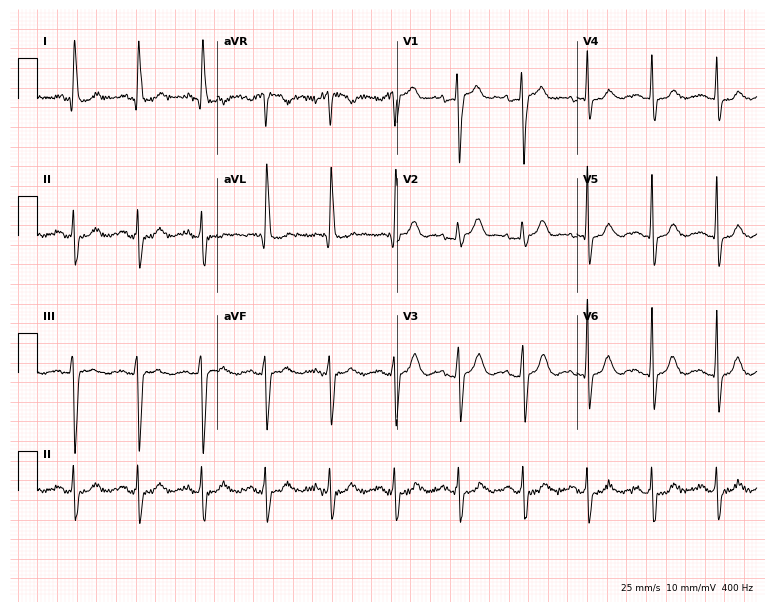
Standard 12-lead ECG recorded from a 65-year-old woman (7.3-second recording at 400 Hz). None of these six findings is recorded: first-degree AV block, right bundle branch block, left bundle branch block, sinus bradycardia, atrial fibrillation, sinus tachycardia.